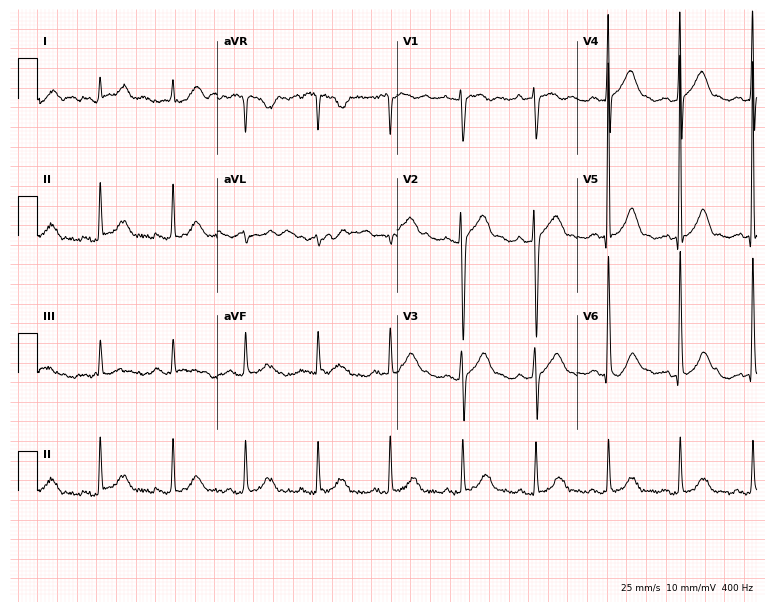
ECG — an 82-year-old female patient. Labelled as a normal ECG.